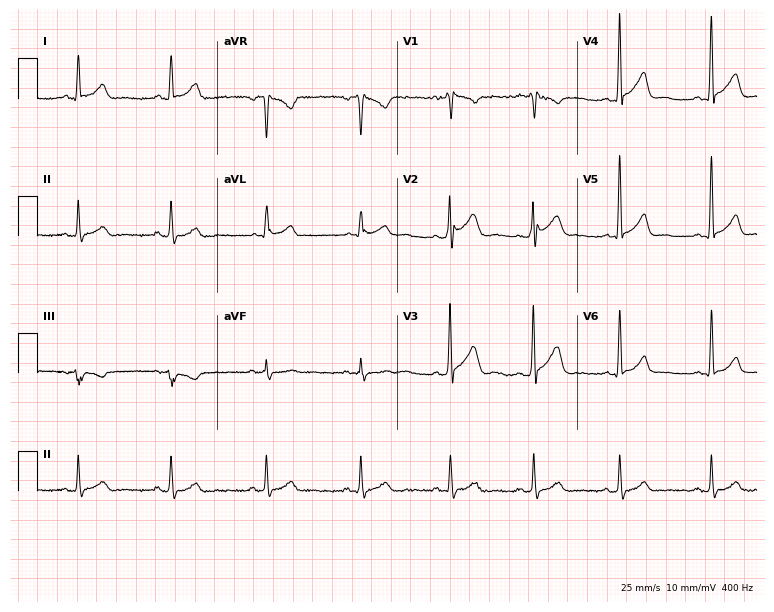
ECG (7.3-second recording at 400 Hz) — a 50-year-old male. Labelled as a normal ECG.